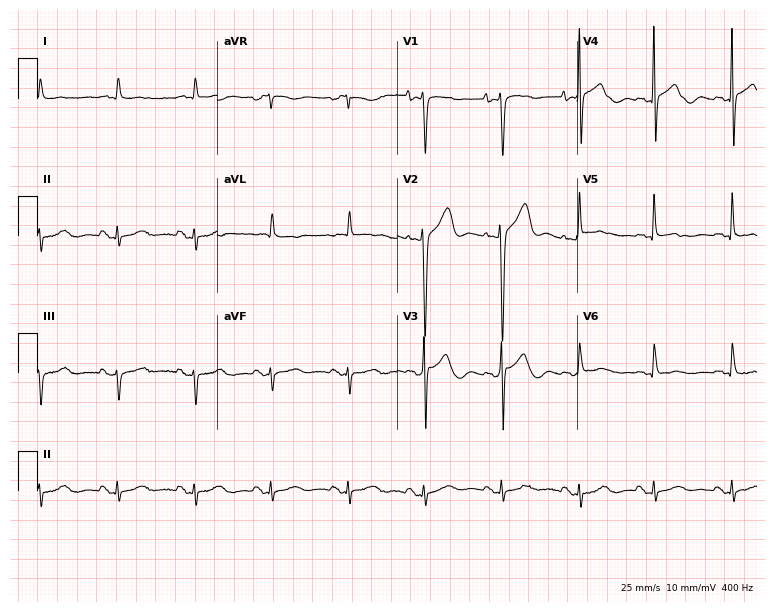
12-lead ECG from a female, 81 years old (7.3-second recording at 400 Hz). No first-degree AV block, right bundle branch block (RBBB), left bundle branch block (LBBB), sinus bradycardia, atrial fibrillation (AF) or sinus tachycardia recorded for this tracing. Only these six findings were labelled.